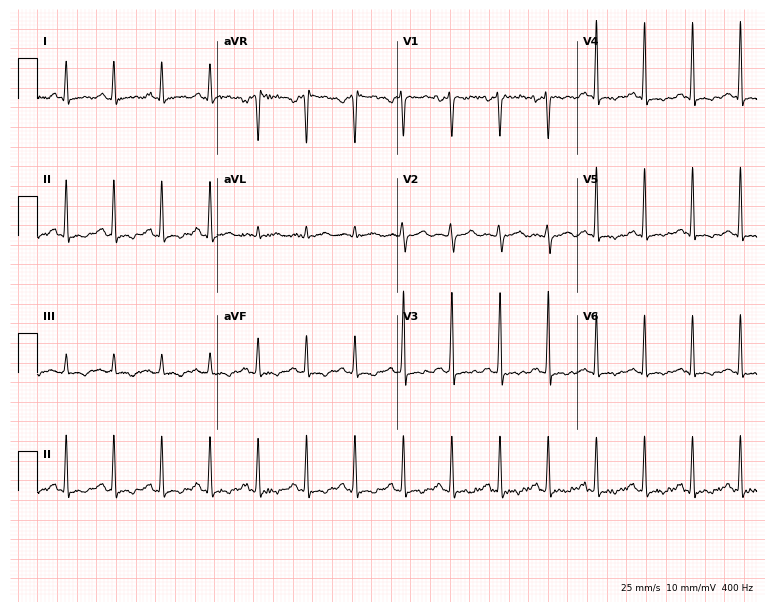
12-lead ECG (7.3-second recording at 400 Hz) from a 32-year-old male. Screened for six findings — first-degree AV block, right bundle branch block, left bundle branch block, sinus bradycardia, atrial fibrillation, sinus tachycardia — none is recorded.